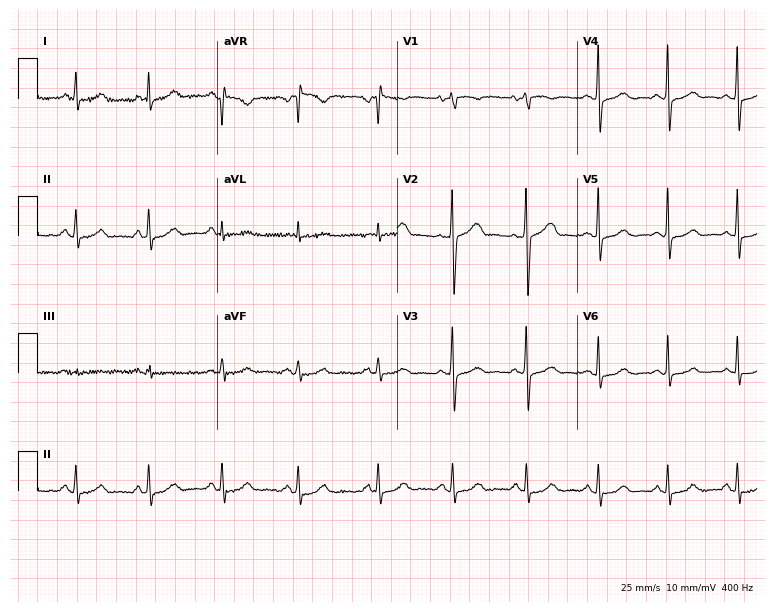
Electrocardiogram (7.3-second recording at 400 Hz), a woman, 38 years old. Overall reading on record: normal ECG.